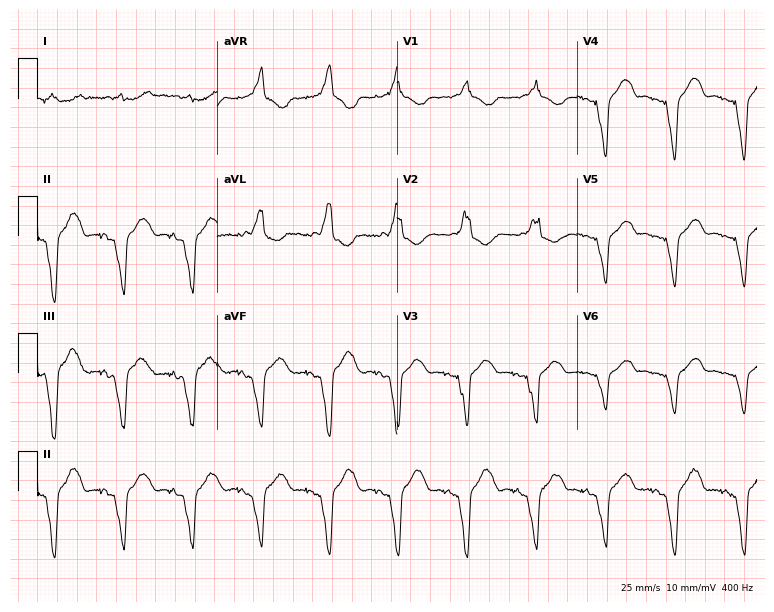
Standard 12-lead ECG recorded from a woman, 74 years old. None of these six findings is recorded: first-degree AV block, right bundle branch block, left bundle branch block, sinus bradycardia, atrial fibrillation, sinus tachycardia.